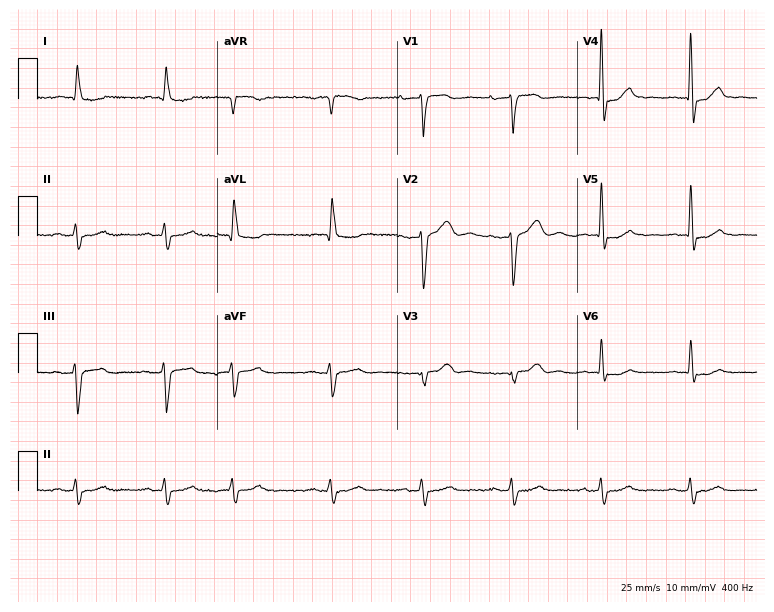
12-lead ECG from a 71-year-old female patient. Screened for six findings — first-degree AV block, right bundle branch block, left bundle branch block, sinus bradycardia, atrial fibrillation, sinus tachycardia — none is recorded. Findings outside these six are not listed.